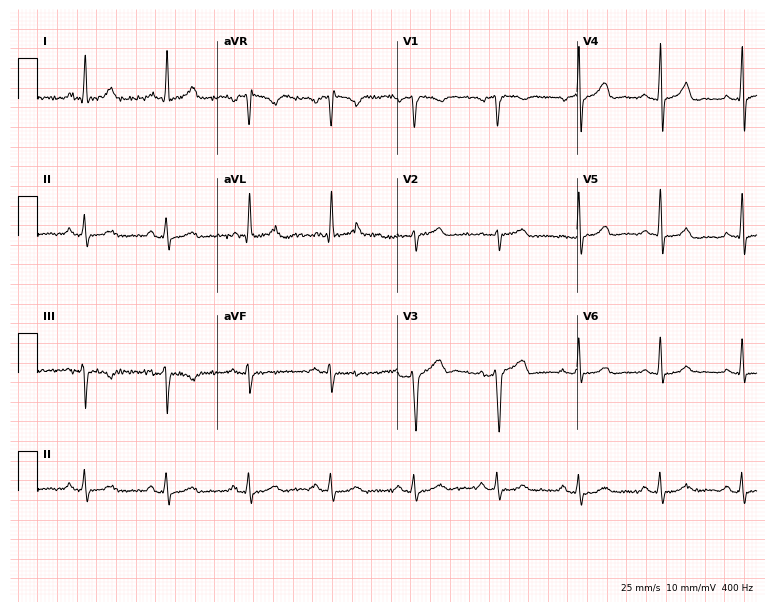
Electrocardiogram (7.3-second recording at 400 Hz), a man, 49 years old. Overall reading on record: normal ECG.